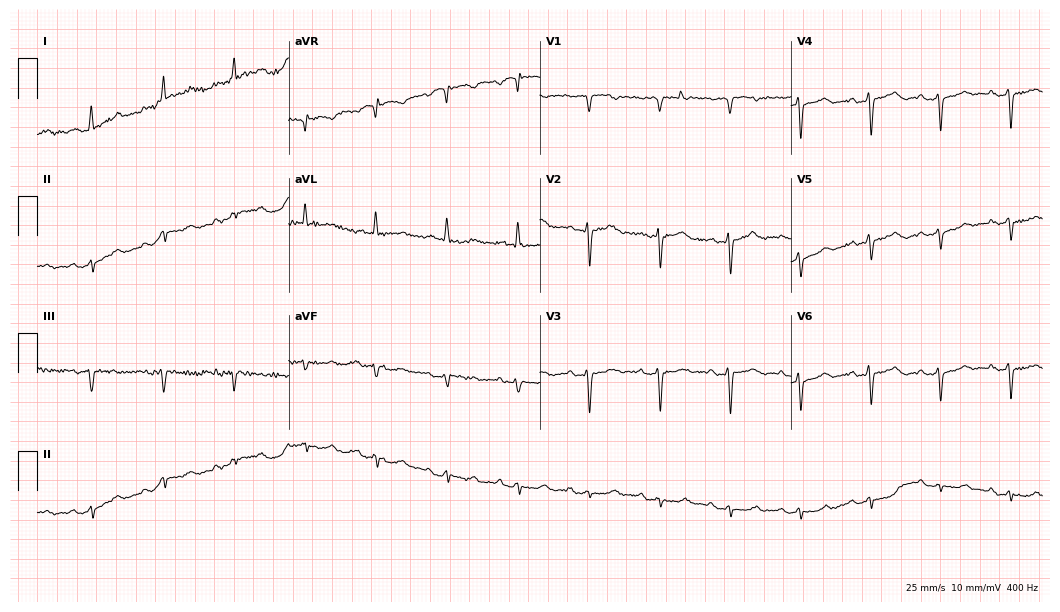
12-lead ECG from an 81-year-old female (10.2-second recording at 400 Hz). No first-degree AV block, right bundle branch block (RBBB), left bundle branch block (LBBB), sinus bradycardia, atrial fibrillation (AF) or sinus tachycardia recorded for this tracing. Only these six findings were labelled.